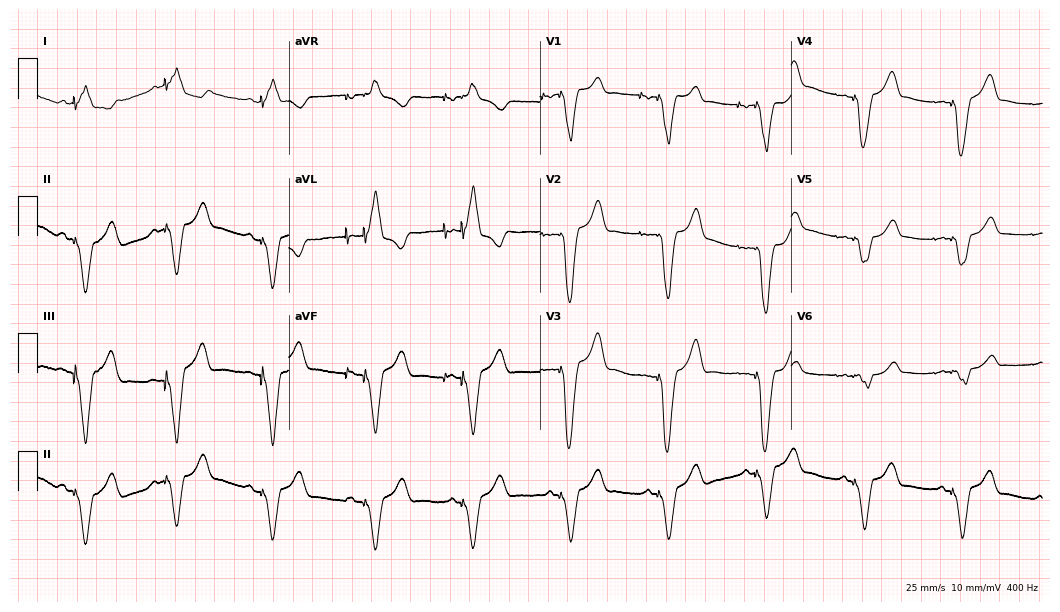
12-lead ECG from a female patient, 44 years old (10.2-second recording at 400 Hz). No first-degree AV block, right bundle branch block, left bundle branch block, sinus bradycardia, atrial fibrillation or sinus tachycardia recorded for this tracing.